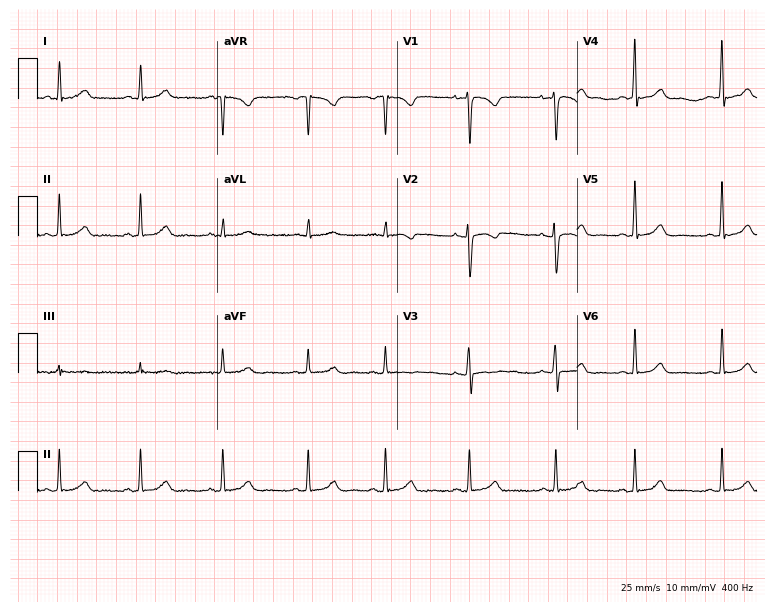
Standard 12-lead ECG recorded from a female patient, 26 years old (7.3-second recording at 400 Hz). None of these six findings is recorded: first-degree AV block, right bundle branch block (RBBB), left bundle branch block (LBBB), sinus bradycardia, atrial fibrillation (AF), sinus tachycardia.